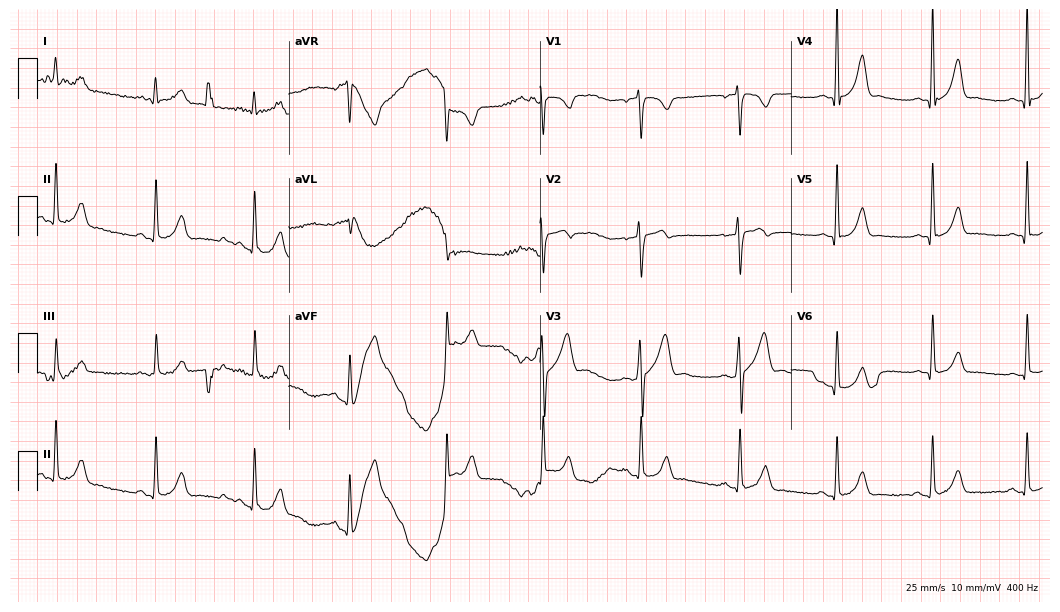
12-lead ECG from a man, 38 years old. Screened for six findings — first-degree AV block, right bundle branch block, left bundle branch block, sinus bradycardia, atrial fibrillation, sinus tachycardia — none is recorded.